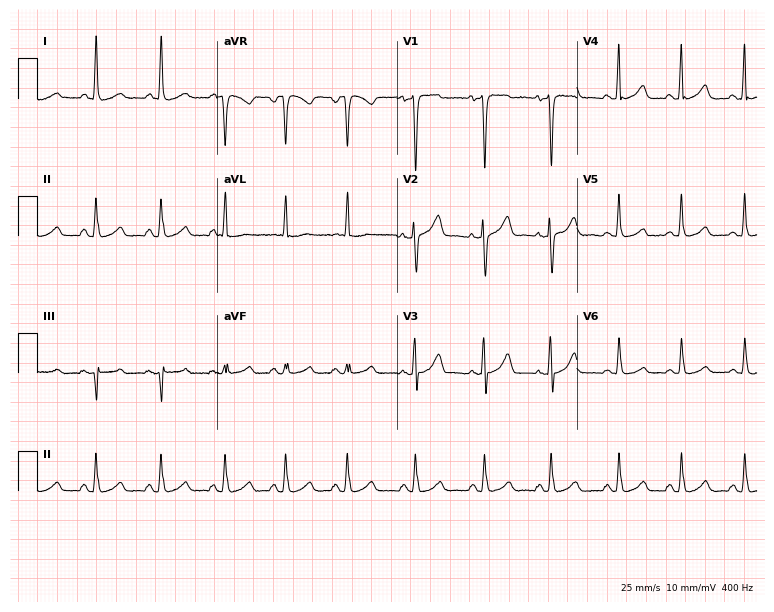
12-lead ECG from a female, 43 years old. Screened for six findings — first-degree AV block, right bundle branch block, left bundle branch block, sinus bradycardia, atrial fibrillation, sinus tachycardia — none is recorded.